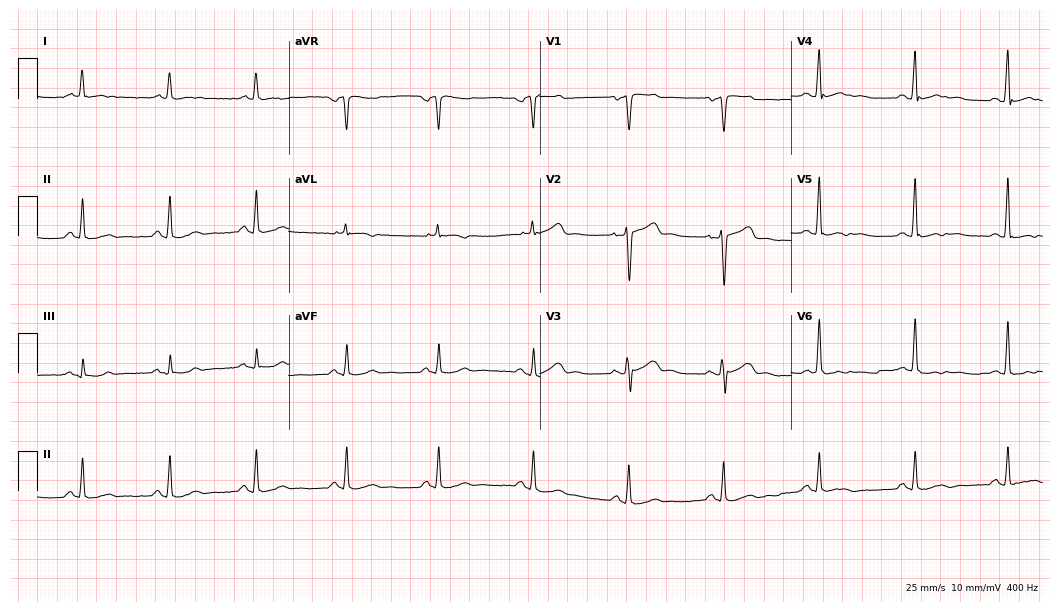
Standard 12-lead ECG recorded from a female, 50 years old (10.2-second recording at 400 Hz). None of these six findings is recorded: first-degree AV block, right bundle branch block, left bundle branch block, sinus bradycardia, atrial fibrillation, sinus tachycardia. Only these six findings were labelled.